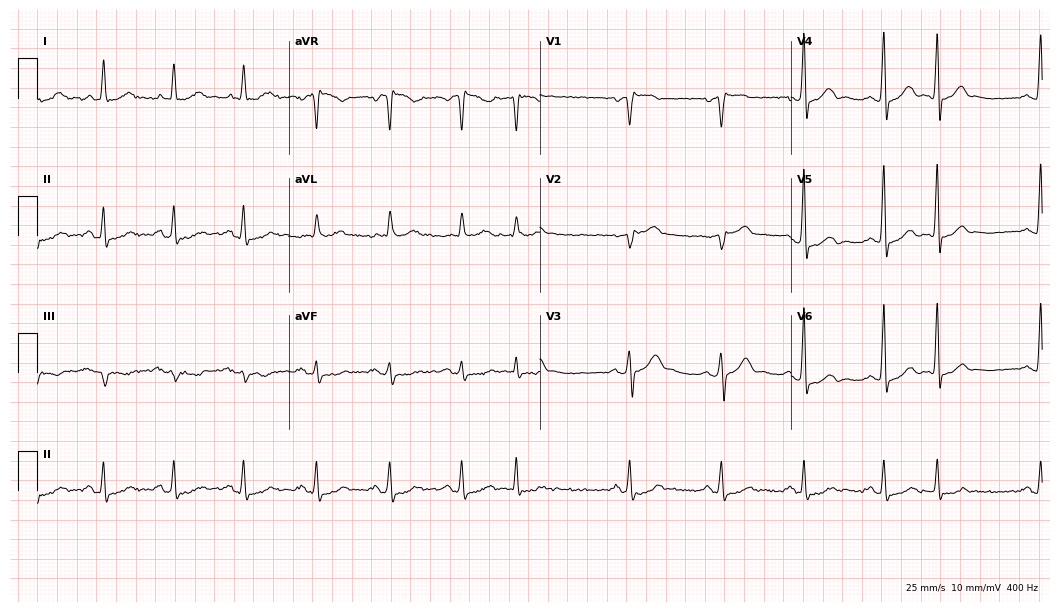
ECG (10.2-second recording at 400 Hz) — a 72-year-old male patient. Screened for six findings — first-degree AV block, right bundle branch block, left bundle branch block, sinus bradycardia, atrial fibrillation, sinus tachycardia — none is recorded. Other findings, if any, are not listed.